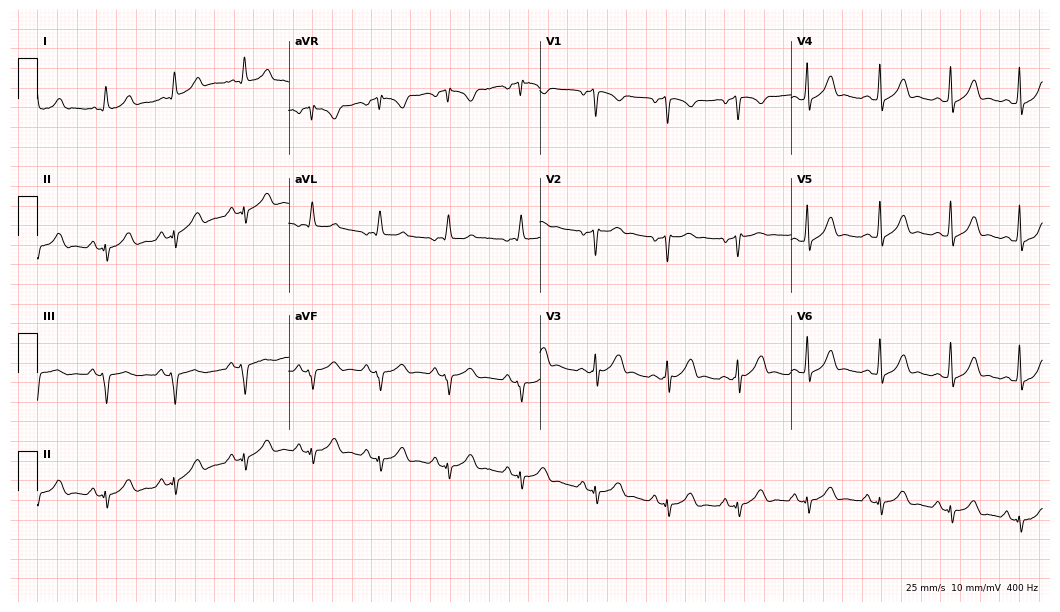
Electrocardiogram, a male, 25 years old. Of the six screened findings (first-degree AV block, right bundle branch block, left bundle branch block, sinus bradycardia, atrial fibrillation, sinus tachycardia), none is recorded.